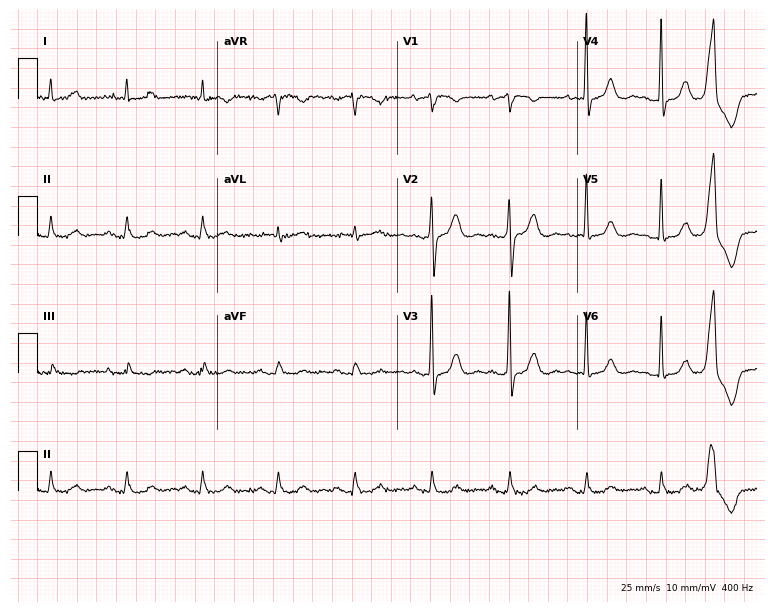
Resting 12-lead electrocardiogram. Patient: a man, 78 years old. None of these six findings is recorded: first-degree AV block, right bundle branch block (RBBB), left bundle branch block (LBBB), sinus bradycardia, atrial fibrillation (AF), sinus tachycardia.